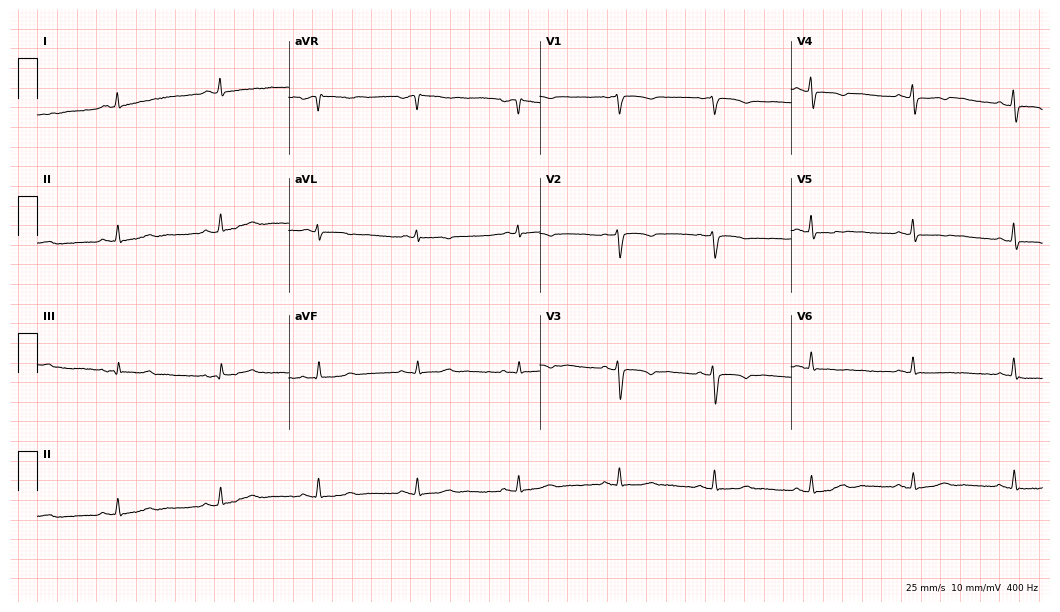
ECG (10.2-second recording at 400 Hz) — a woman, 63 years old. Screened for six findings — first-degree AV block, right bundle branch block, left bundle branch block, sinus bradycardia, atrial fibrillation, sinus tachycardia — none is recorded.